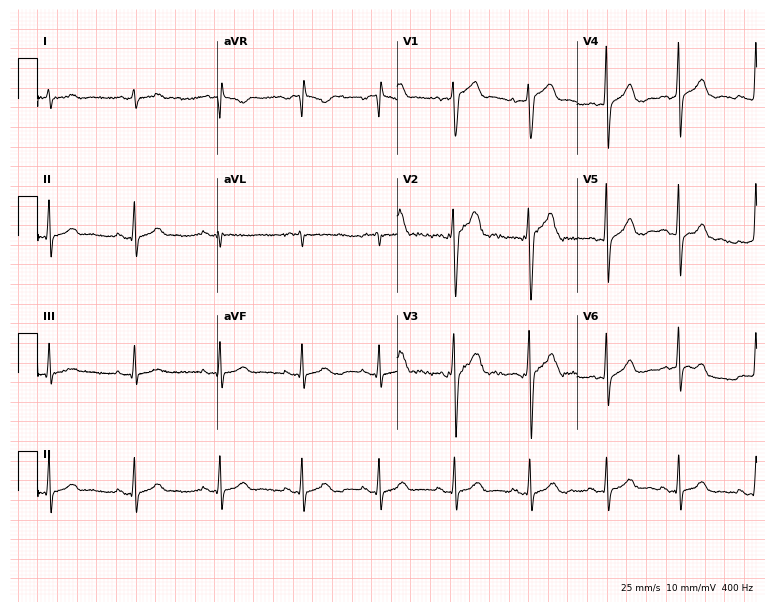
Electrocardiogram, a man, 23 years old. Of the six screened findings (first-degree AV block, right bundle branch block, left bundle branch block, sinus bradycardia, atrial fibrillation, sinus tachycardia), none is recorded. Findings outside these six are not listed.